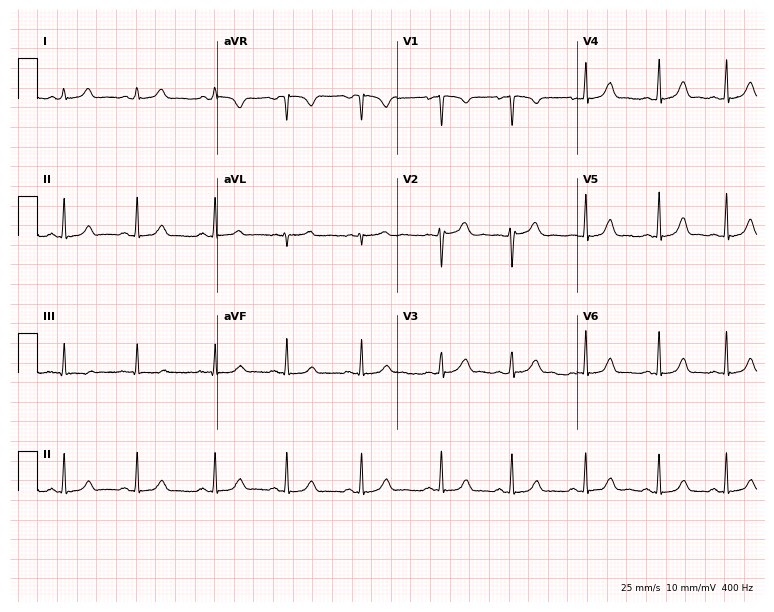
12-lead ECG from a woman, 18 years old. Recorded interpretation: within normal limits.